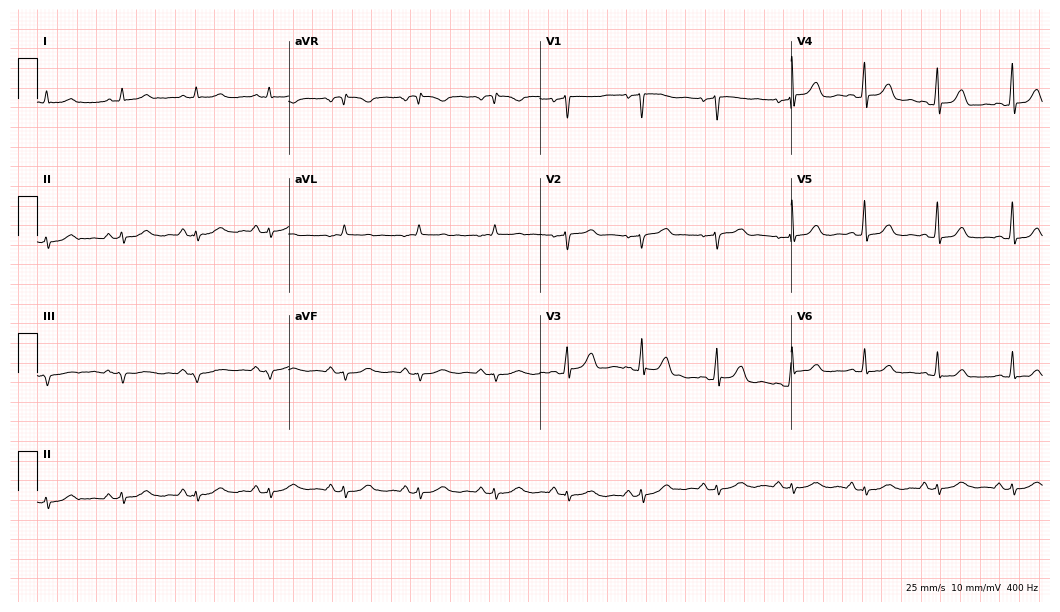
Standard 12-lead ECG recorded from a 59-year-old female. None of these six findings is recorded: first-degree AV block, right bundle branch block, left bundle branch block, sinus bradycardia, atrial fibrillation, sinus tachycardia. Findings outside these six are not listed.